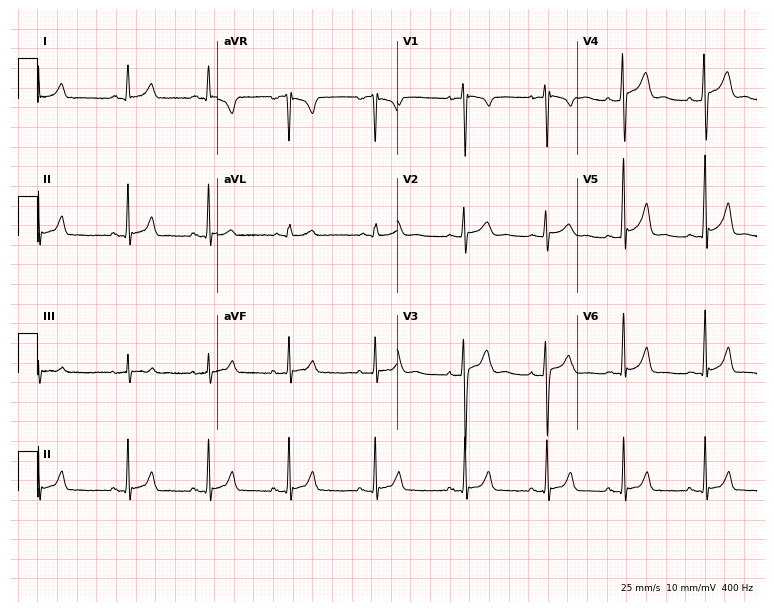
12-lead ECG from a man, 19 years old (7.3-second recording at 400 Hz). Recorded interpretation: within normal limits.